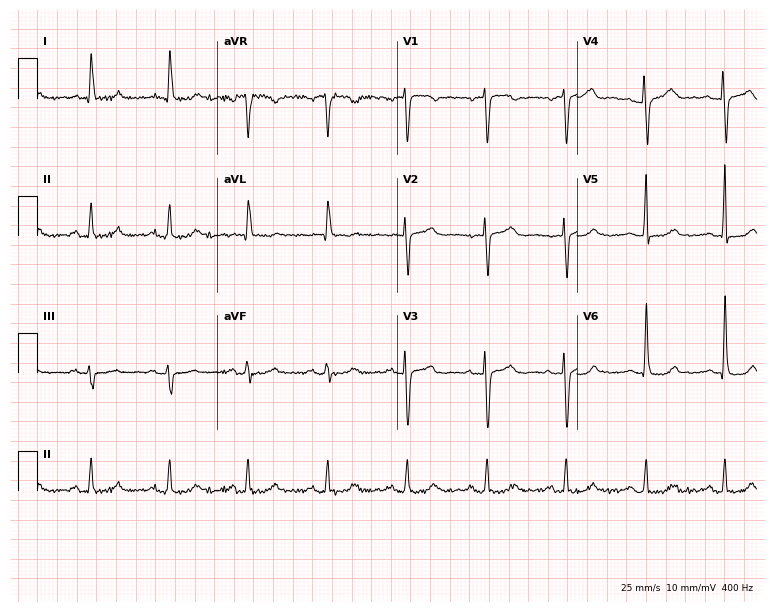
ECG (7.3-second recording at 400 Hz) — a woman, 63 years old. Labelled as a normal ECG.